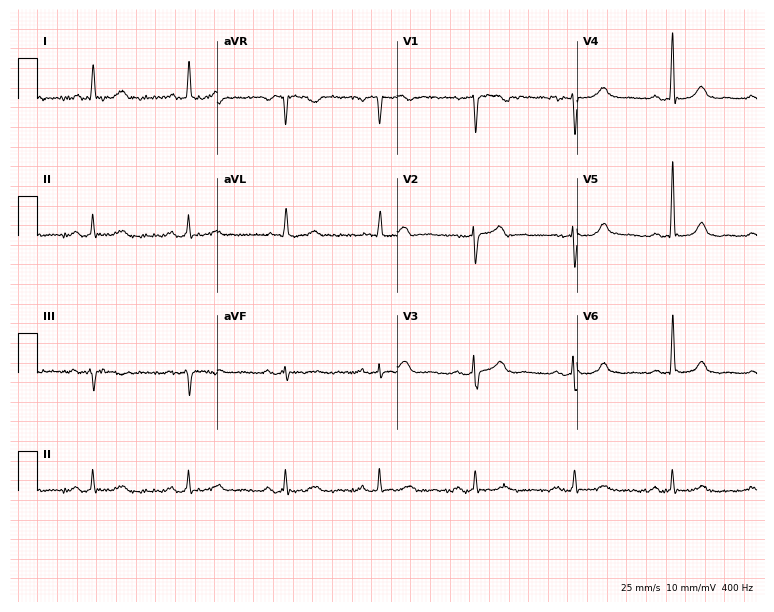
Electrocardiogram (7.3-second recording at 400 Hz), a 47-year-old female. Overall reading on record: normal ECG.